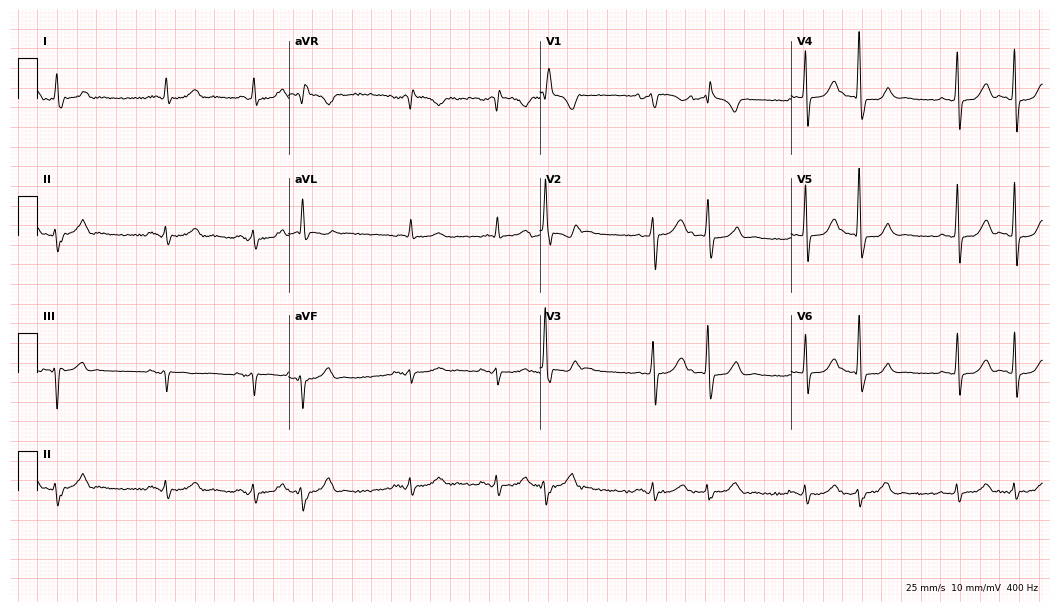
Resting 12-lead electrocardiogram. Patient: a male, 59 years old. None of these six findings is recorded: first-degree AV block, right bundle branch block (RBBB), left bundle branch block (LBBB), sinus bradycardia, atrial fibrillation (AF), sinus tachycardia.